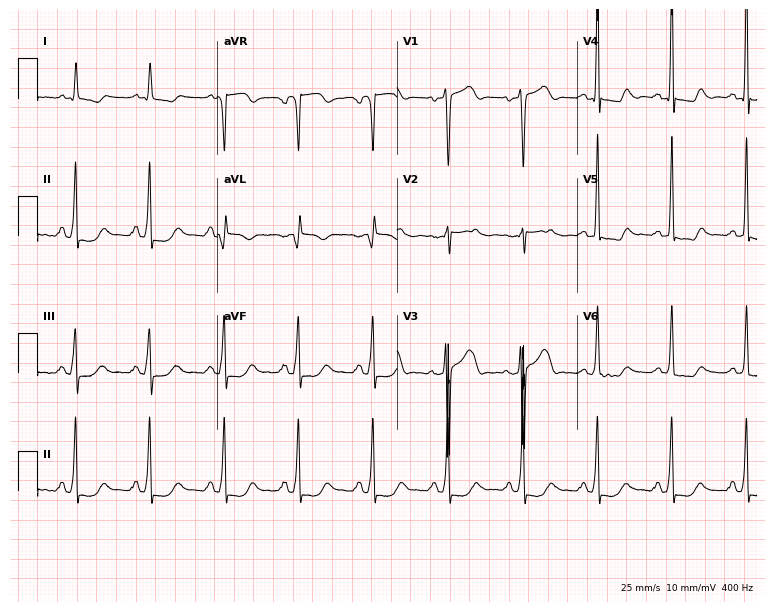
ECG — a 47-year-old man. Screened for six findings — first-degree AV block, right bundle branch block (RBBB), left bundle branch block (LBBB), sinus bradycardia, atrial fibrillation (AF), sinus tachycardia — none is recorded.